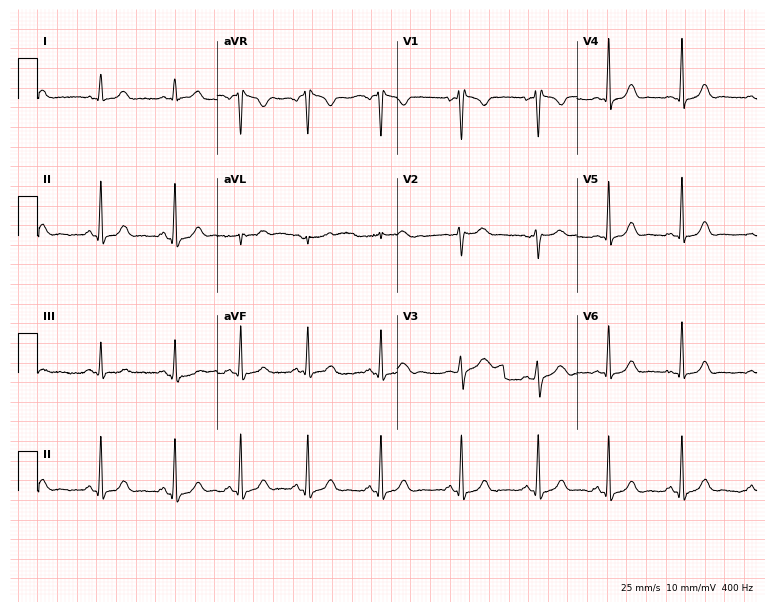
Resting 12-lead electrocardiogram (7.3-second recording at 400 Hz). Patient: a 27-year-old female. None of these six findings is recorded: first-degree AV block, right bundle branch block (RBBB), left bundle branch block (LBBB), sinus bradycardia, atrial fibrillation (AF), sinus tachycardia. Findings outside these six are not listed.